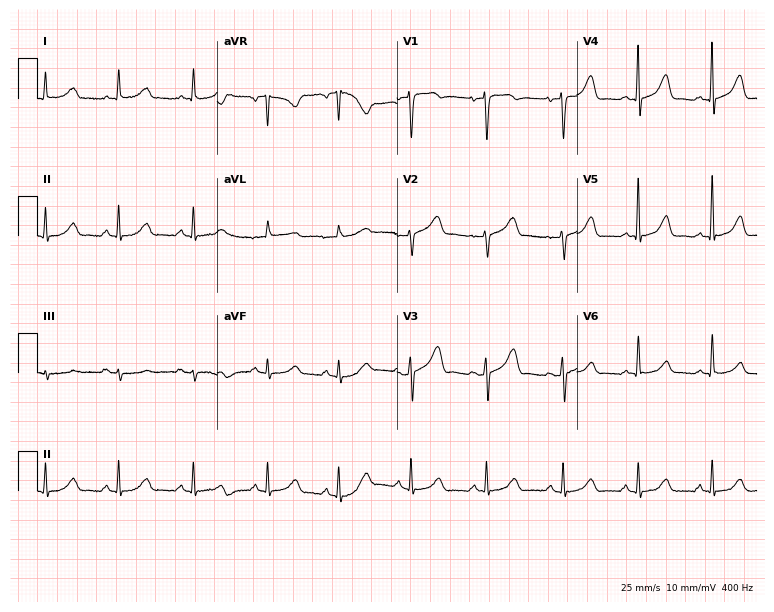
Standard 12-lead ECG recorded from a woman, 55 years old (7.3-second recording at 400 Hz). None of these six findings is recorded: first-degree AV block, right bundle branch block, left bundle branch block, sinus bradycardia, atrial fibrillation, sinus tachycardia.